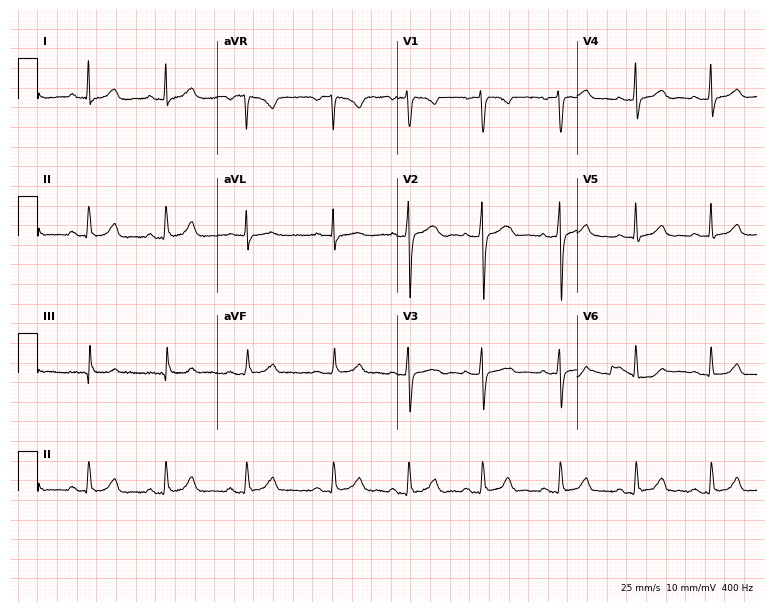
12-lead ECG from a woman, 33 years old (7.3-second recording at 400 Hz). Recorded interpretation: within normal limits.